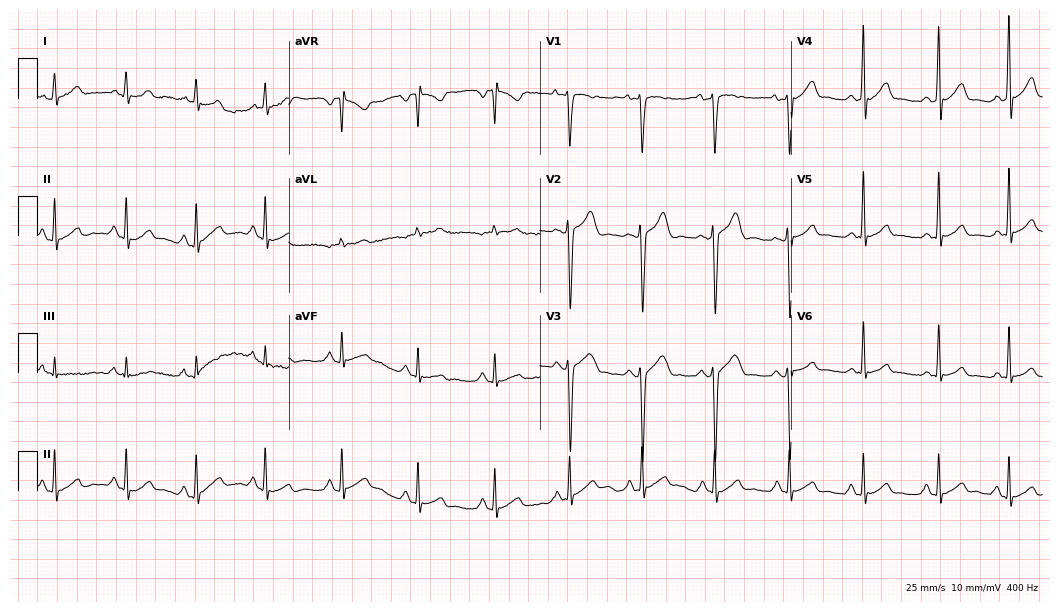
12-lead ECG (10.2-second recording at 400 Hz) from a man, 17 years old. Labelled as a normal ECG.